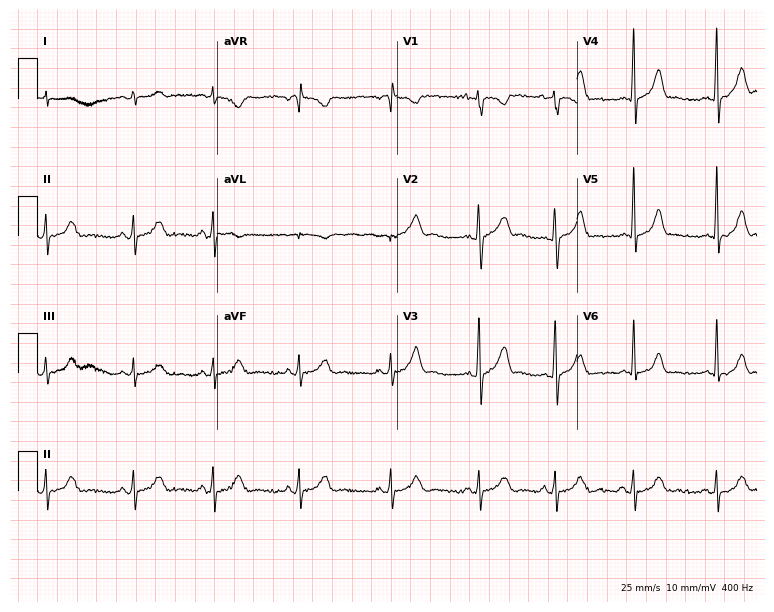
Resting 12-lead electrocardiogram. Patient: a 27-year-old woman. None of these six findings is recorded: first-degree AV block, right bundle branch block, left bundle branch block, sinus bradycardia, atrial fibrillation, sinus tachycardia.